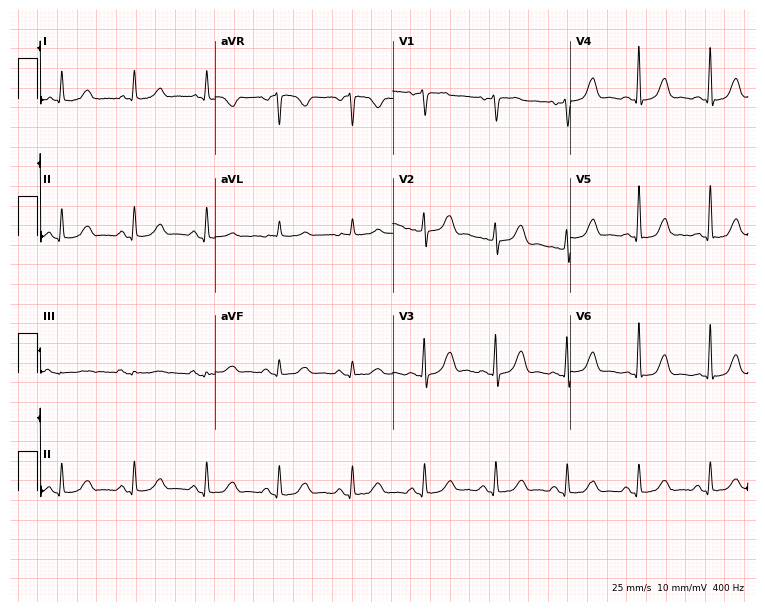
Electrocardiogram (7.2-second recording at 400 Hz), a female patient, 65 years old. Of the six screened findings (first-degree AV block, right bundle branch block (RBBB), left bundle branch block (LBBB), sinus bradycardia, atrial fibrillation (AF), sinus tachycardia), none is recorded. Findings outside these six are not listed.